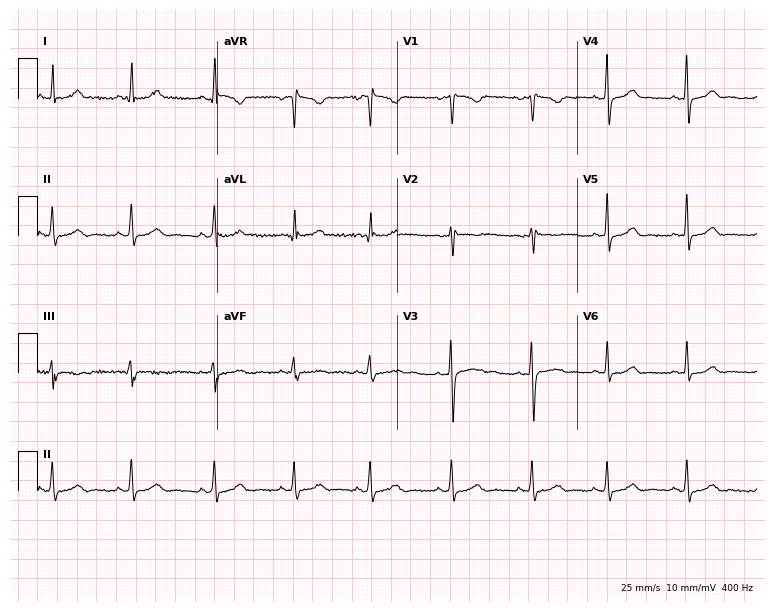
ECG (7.3-second recording at 400 Hz) — a 35-year-old female patient. Labelled as a normal ECG.